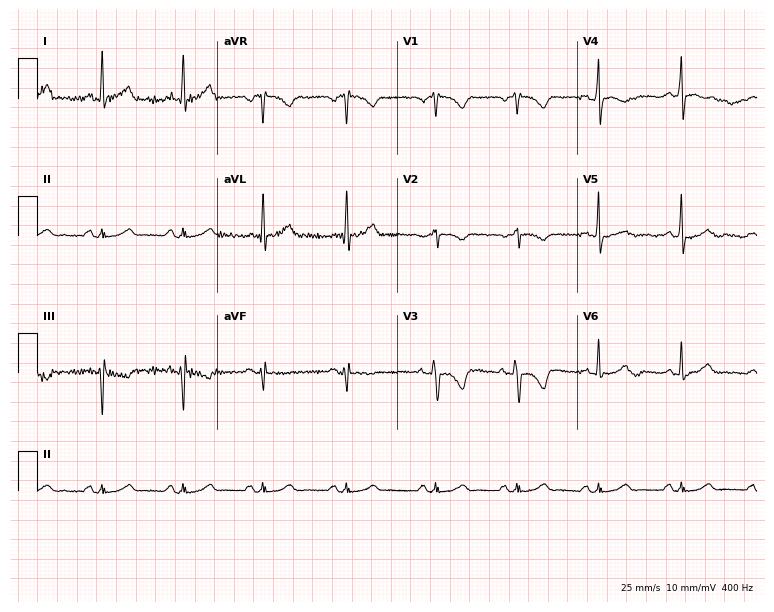
Electrocardiogram, a 65-year-old female patient. Of the six screened findings (first-degree AV block, right bundle branch block, left bundle branch block, sinus bradycardia, atrial fibrillation, sinus tachycardia), none is recorded. Other findings, if any, are not listed.